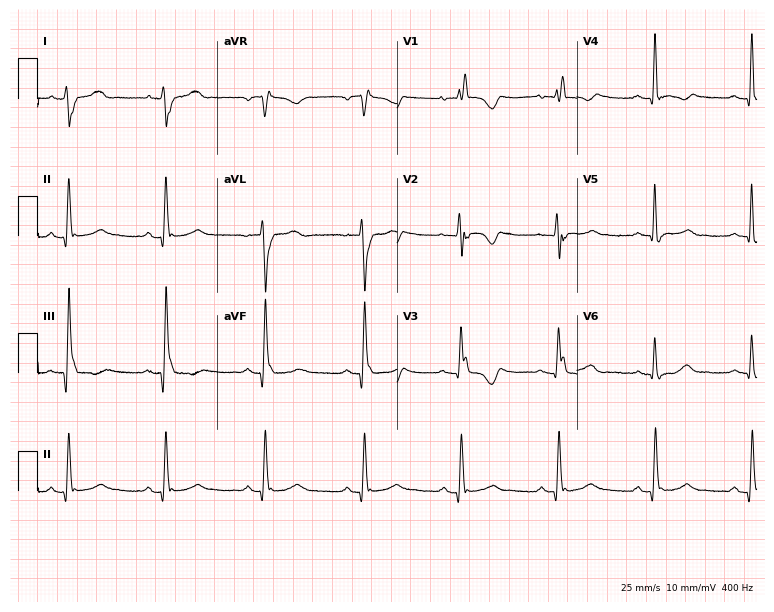
Resting 12-lead electrocardiogram (7.3-second recording at 400 Hz). Patient: a female, 41 years old. None of these six findings is recorded: first-degree AV block, right bundle branch block, left bundle branch block, sinus bradycardia, atrial fibrillation, sinus tachycardia. Other findings, if any, are not listed.